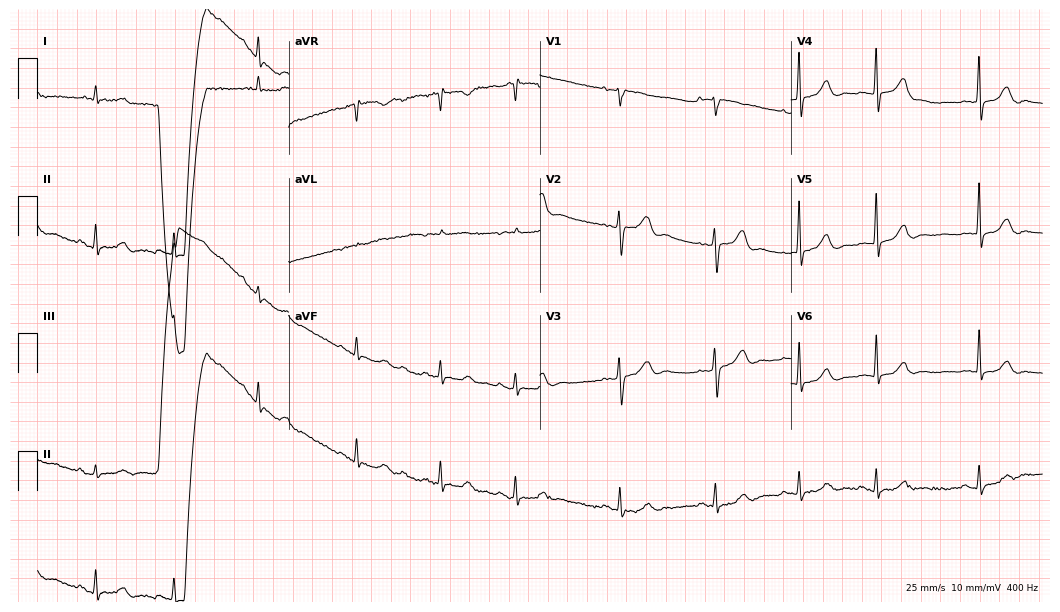
12-lead ECG from an 85-year-old female patient. No first-degree AV block, right bundle branch block (RBBB), left bundle branch block (LBBB), sinus bradycardia, atrial fibrillation (AF) or sinus tachycardia recorded for this tracing. Findings outside these six are not listed.